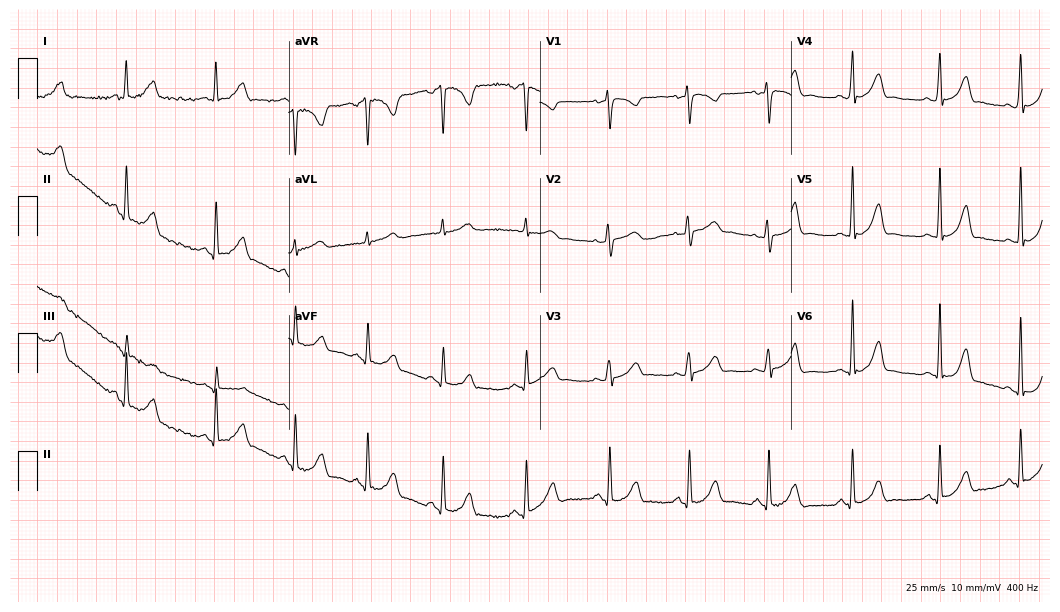
Resting 12-lead electrocardiogram. Patient: a woman, 31 years old. Read as a normal ECG.